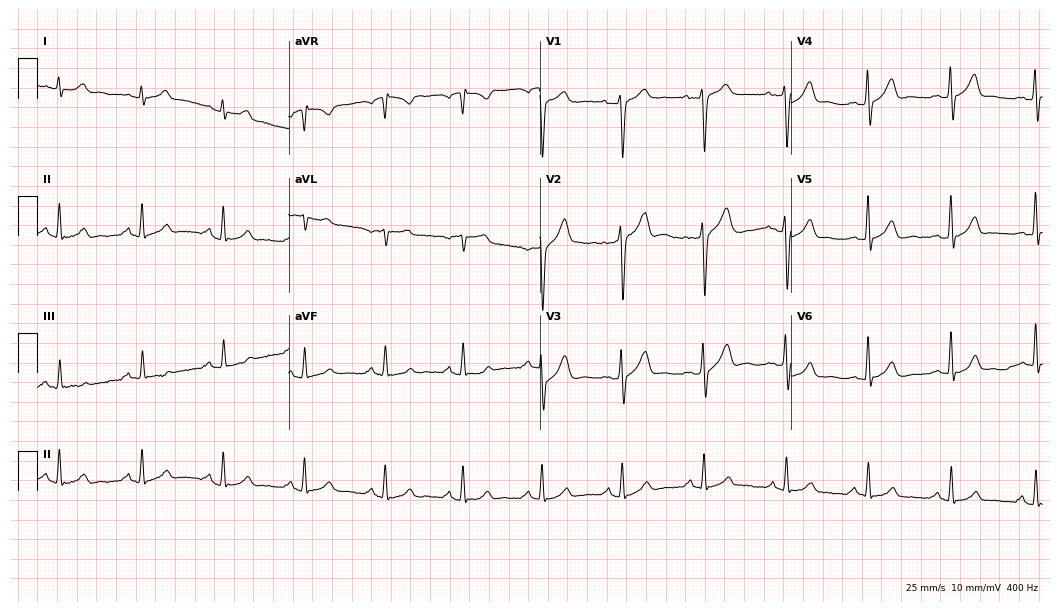
ECG — a male, 40 years old. Labelled as a normal ECG.